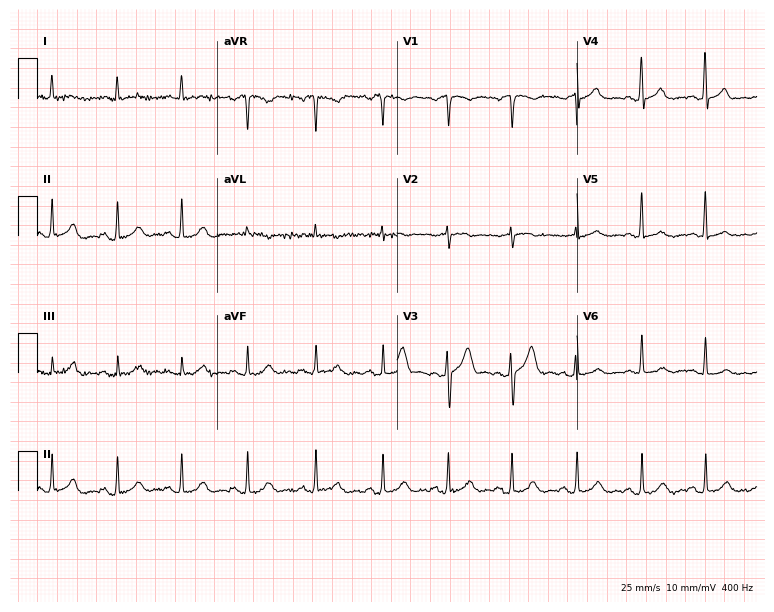
Standard 12-lead ECG recorded from a 55-year-old male patient. Read as a normal ECG.